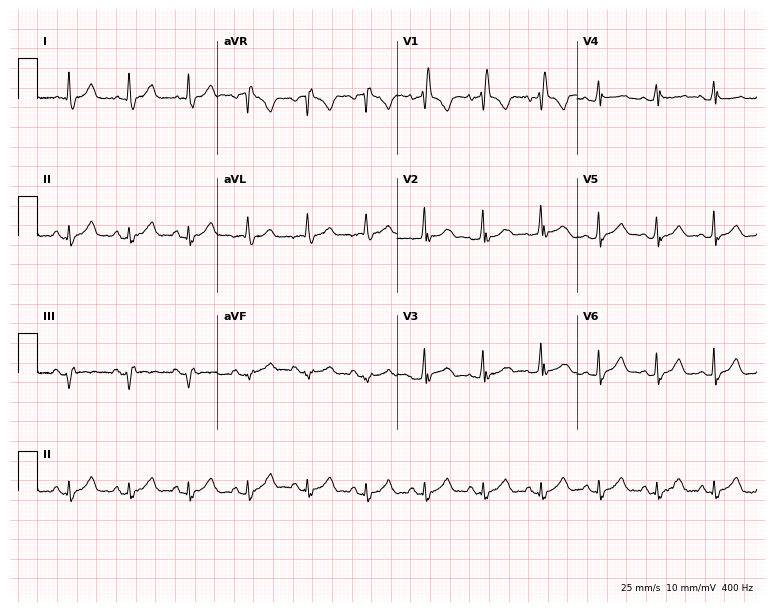
Standard 12-lead ECG recorded from a female, 45 years old. None of these six findings is recorded: first-degree AV block, right bundle branch block, left bundle branch block, sinus bradycardia, atrial fibrillation, sinus tachycardia.